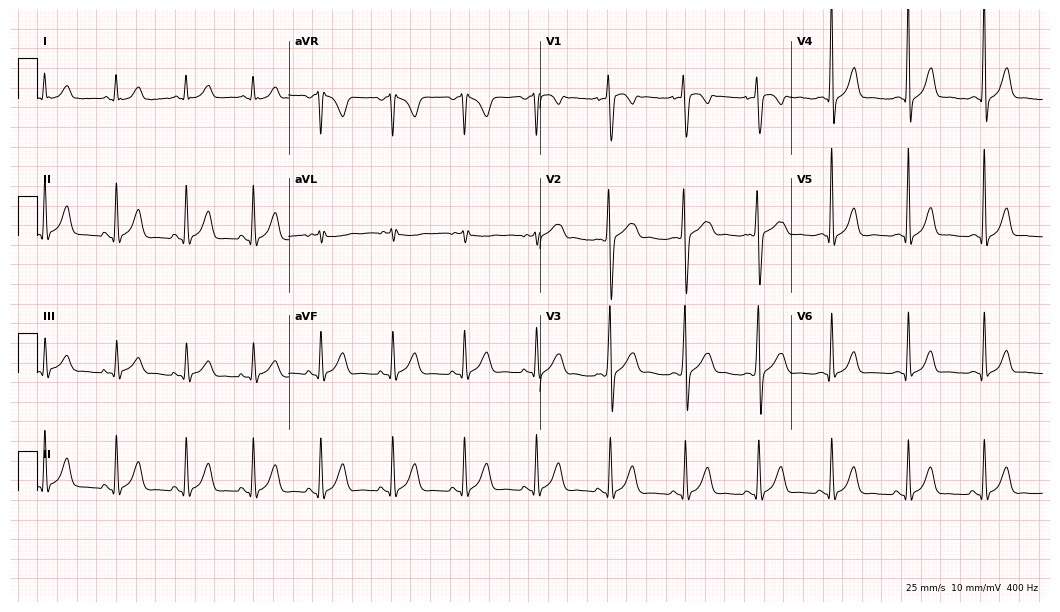
Standard 12-lead ECG recorded from an 18-year-old man (10.2-second recording at 400 Hz). Read as a normal ECG.